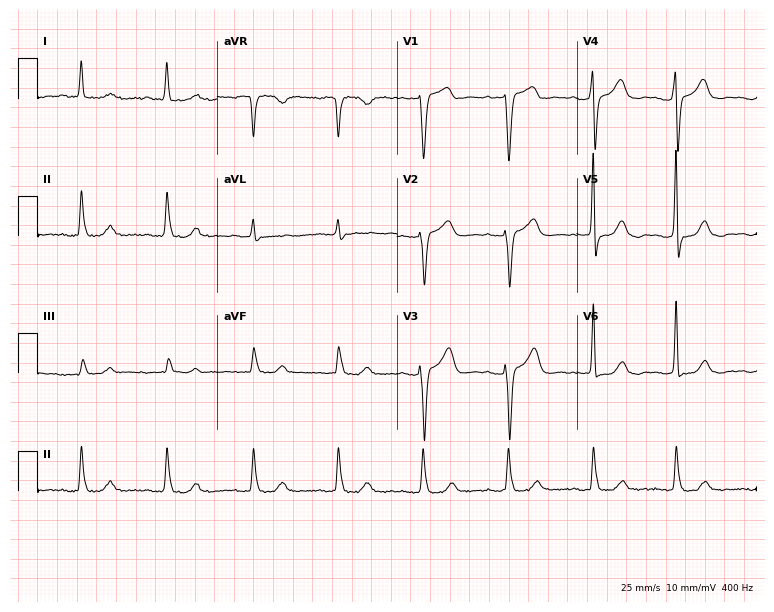
ECG (7.3-second recording at 400 Hz) — a 64-year-old woman. Screened for six findings — first-degree AV block, right bundle branch block, left bundle branch block, sinus bradycardia, atrial fibrillation, sinus tachycardia — none is recorded.